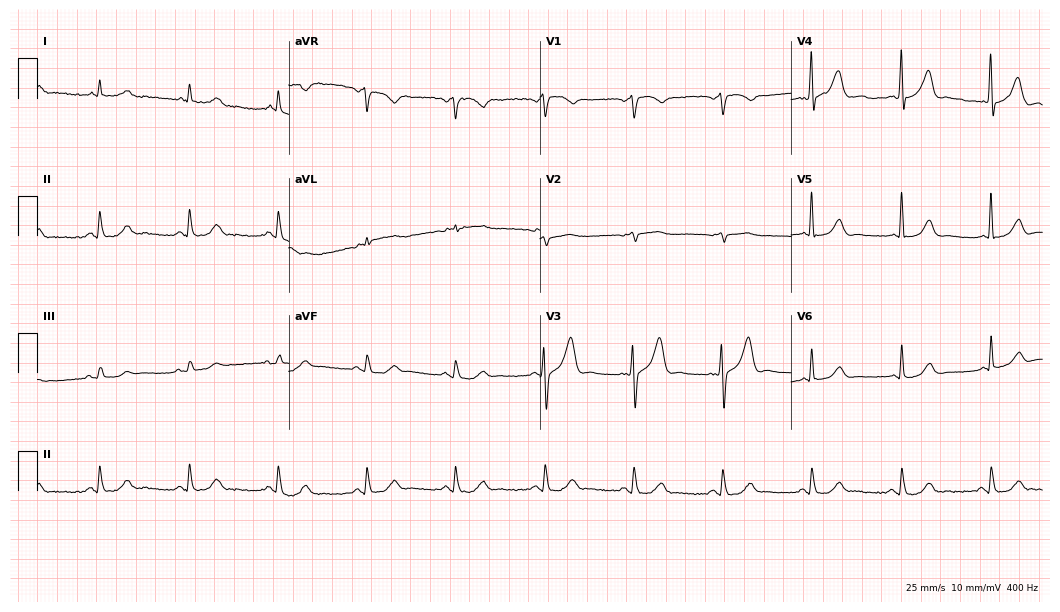
Electrocardiogram (10.2-second recording at 400 Hz), a man, 71 years old. Of the six screened findings (first-degree AV block, right bundle branch block, left bundle branch block, sinus bradycardia, atrial fibrillation, sinus tachycardia), none is recorded.